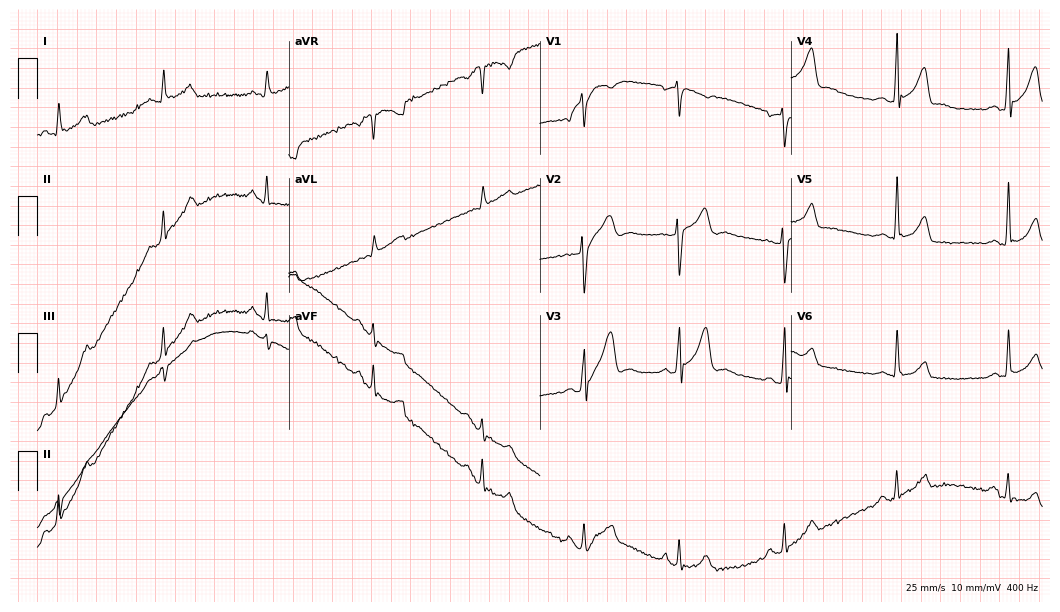
Electrocardiogram (10.2-second recording at 400 Hz), a female, 28 years old. Of the six screened findings (first-degree AV block, right bundle branch block (RBBB), left bundle branch block (LBBB), sinus bradycardia, atrial fibrillation (AF), sinus tachycardia), none is recorded. Only these six findings were labelled.